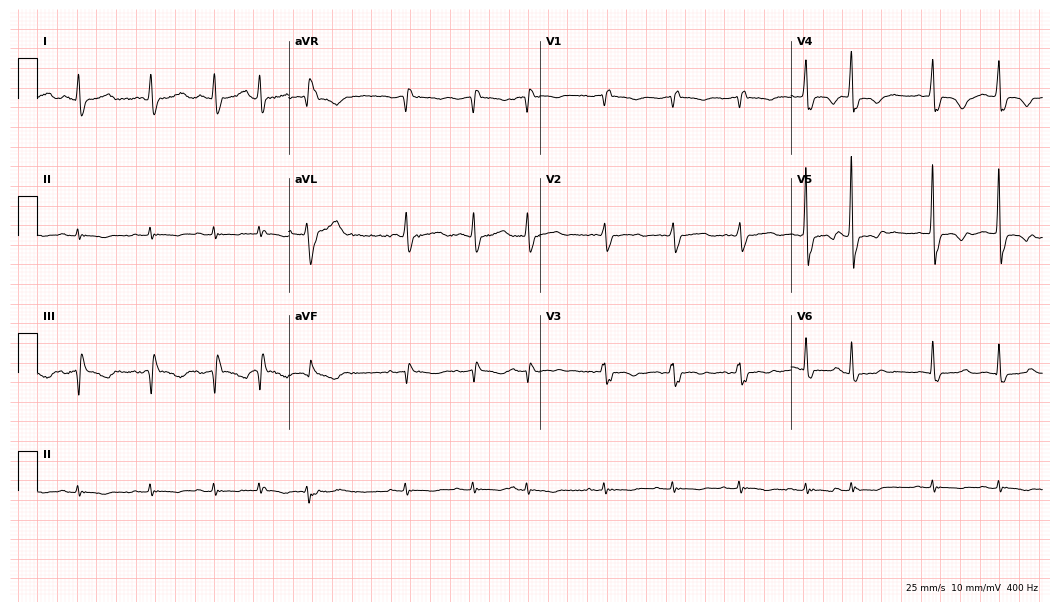
12-lead ECG (10.2-second recording at 400 Hz) from an 85-year-old woman. Screened for six findings — first-degree AV block, right bundle branch block, left bundle branch block, sinus bradycardia, atrial fibrillation, sinus tachycardia — none is recorded.